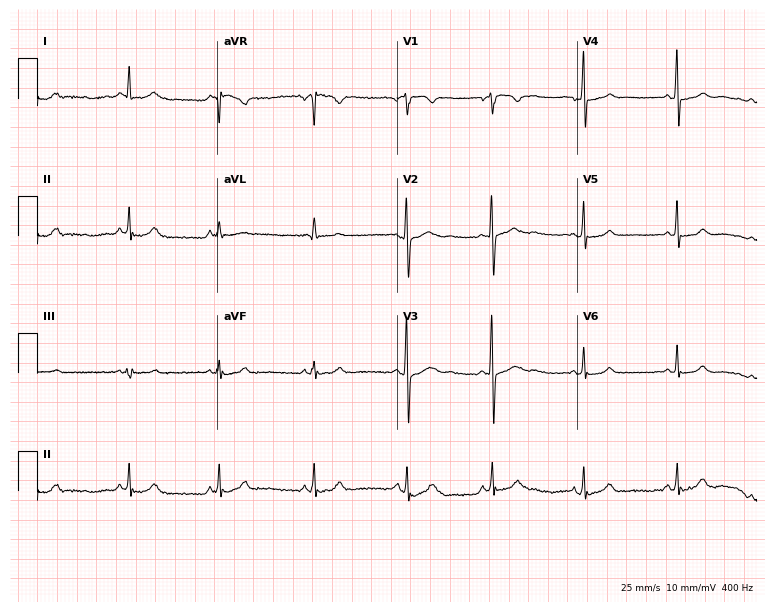
12-lead ECG from a woman, 19 years old (7.3-second recording at 400 Hz). Recorded interpretation: within normal limits.